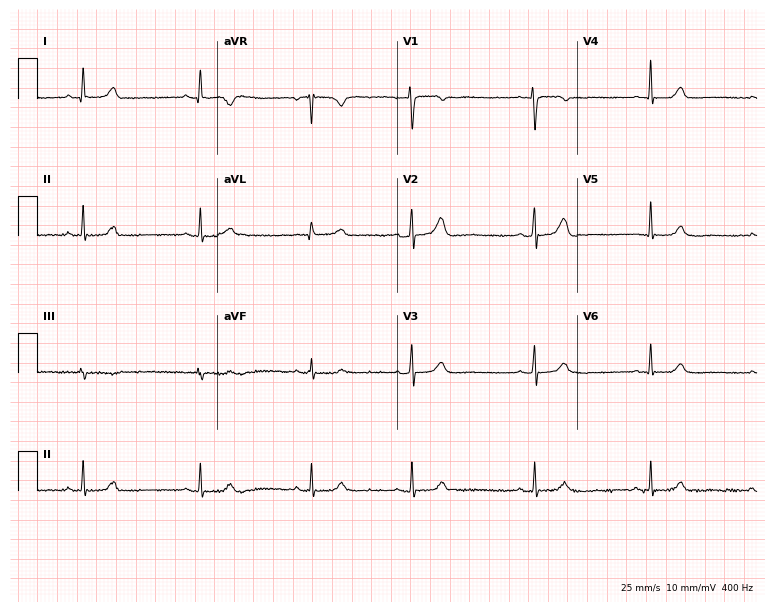
Resting 12-lead electrocardiogram (7.3-second recording at 400 Hz). Patient: a 50-year-old woman. None of these six findings is recorded: first-degree AV block, right bundle branch block, left bundle branch block, sinus bradycardia, atrial fibrillation, sinus tachycardia. Findings outside these six are not listed.